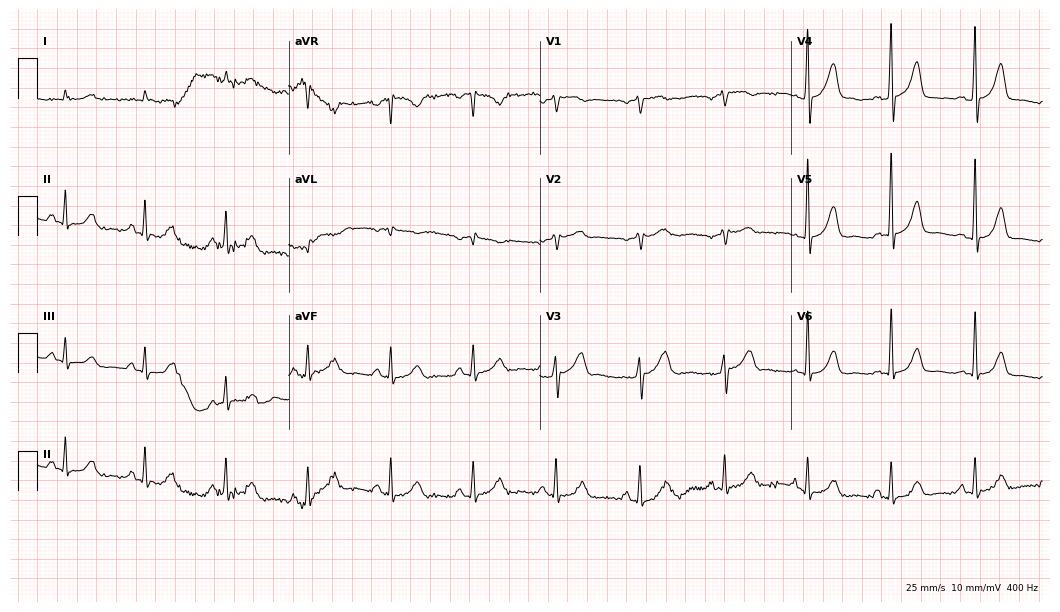
12-lead ECG from an 81-year-old male. No first-degree AV block, right bundle branch block (RBBB), left bundle branch block (LBBB), sinus bradycardia, atrial fibrillation (AF) or sinus tachycardia recorded for this tracing.